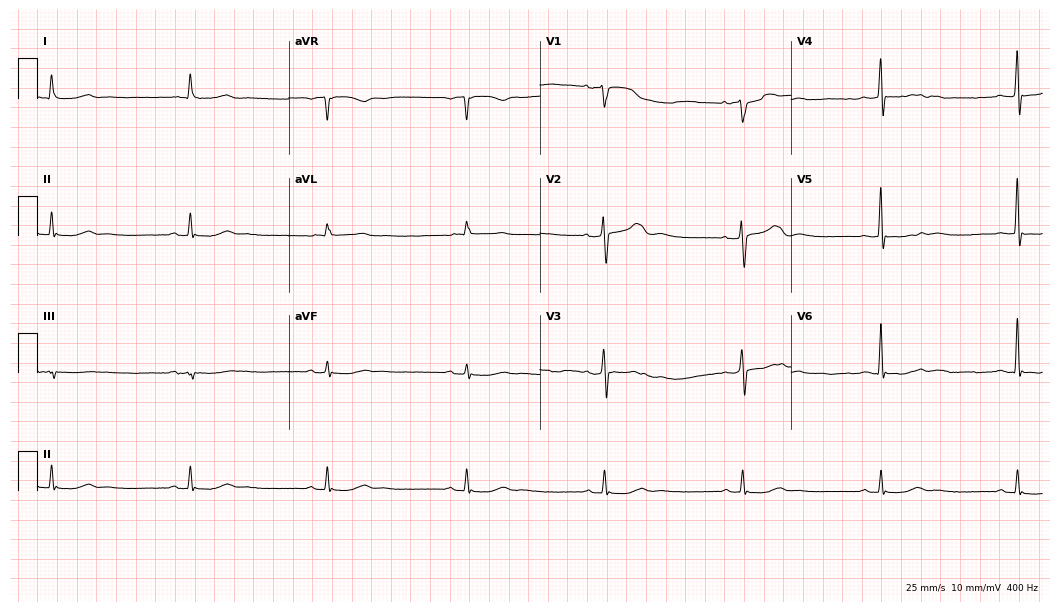
12-lead ECG from an 82-year-old male patient. Screened for six findings — first-degree AV block, right bundle branch block, left bundle branch block, sinus bradycardia, atrial fibrillation, sinus tachycardia — none is recorded. Only these six findings were labelled.